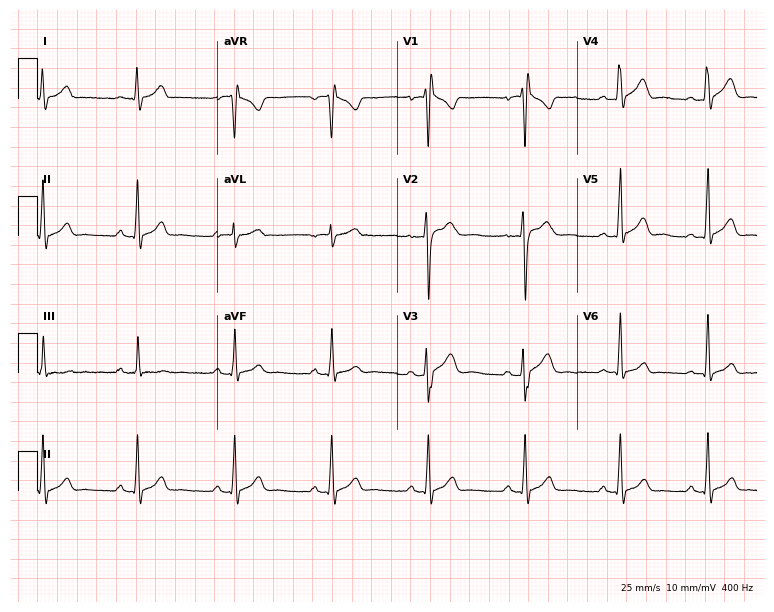
Standard 12-lead ECG recorded from a 21-year-old man (7.3-second recording at 400 Hz). None of these six findings is recorded: first-degree AV block, right bundle branch block, left bundle branch block, sinus bradycardia, atrial fibrillation, sinus tachycardia. Findings outside these six are not listed.